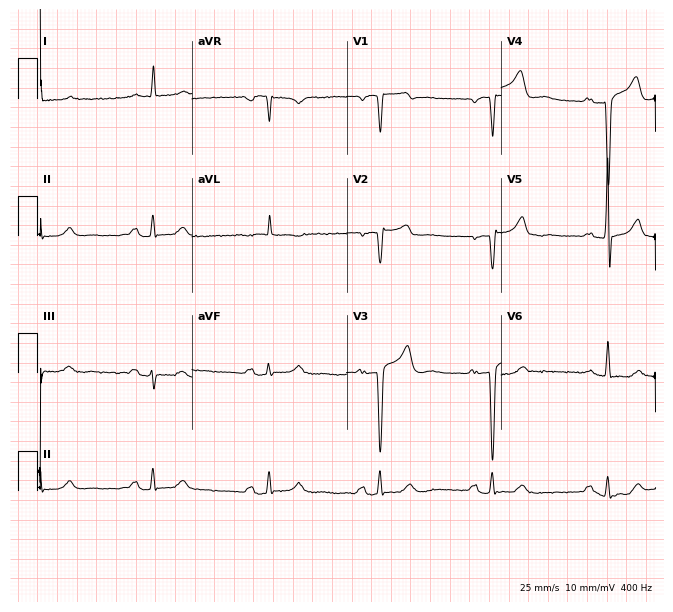
12-lead ECG (6.3-second recording at 400 Hz) from a male patient, 67 years old. Screened for six findings — first-degree AV block, right bundle branch block, left bundle branch block, sinus bradycardia, atrial fibrillation, sinus tachycardia — none is recorded. Findings outside these six are not listed.